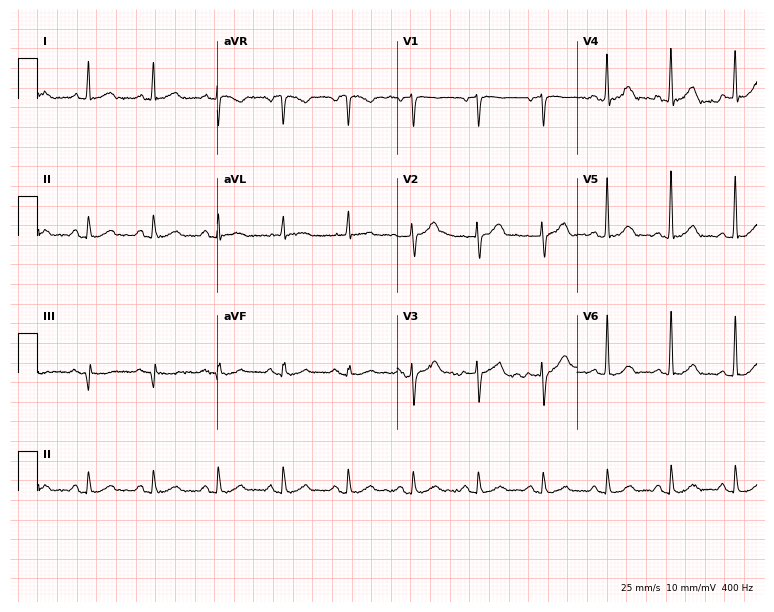
ECG (7.3-second recording at 400 Hz) — a male, 79 years old. Labelled as a normal ECG.